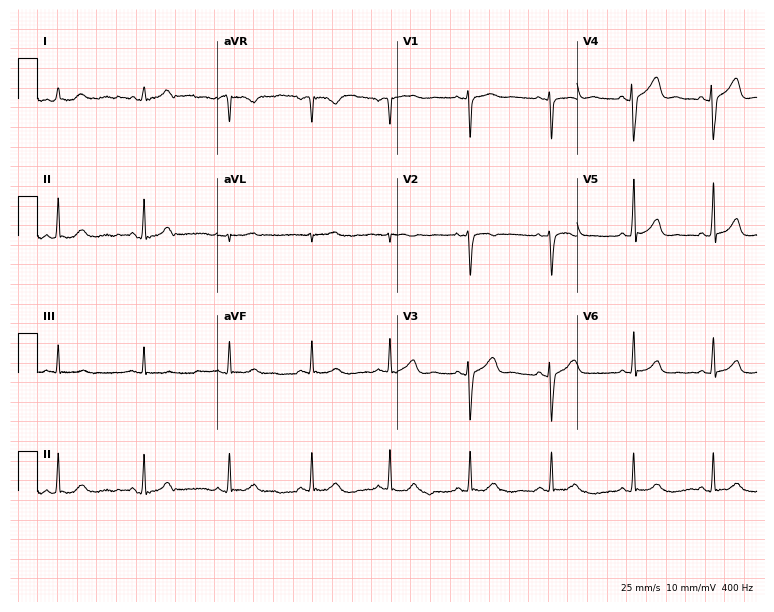
ECG — a 27-year-old female patient. Screened for six findings — first-degree AV block, right bundle branch block, left bundle branch block, sinus bradycardia, atrial fibrillation, sinus tachycardia — none is recorded.